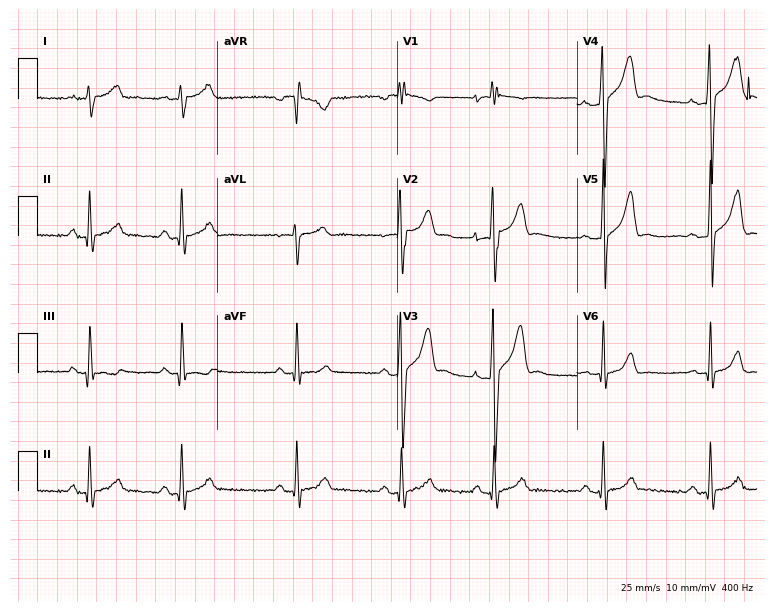
12-lead ECG (7.3-second recording at 400 Hz) from a 21-year-old man. Labelled as a normal ECG.